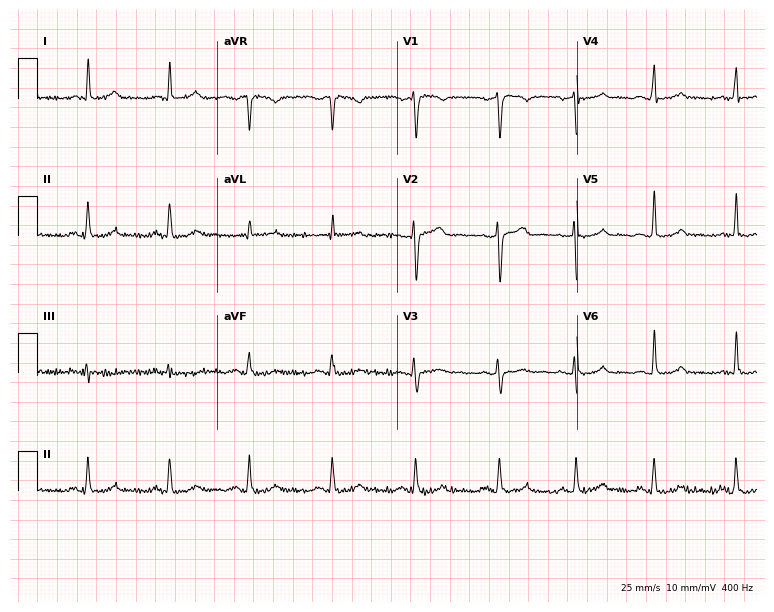
Resting 12-lead electrocardiogram (7.3-second recording at 400 Hz). Patient: a 39-year-old male. Read as a normal ECG.